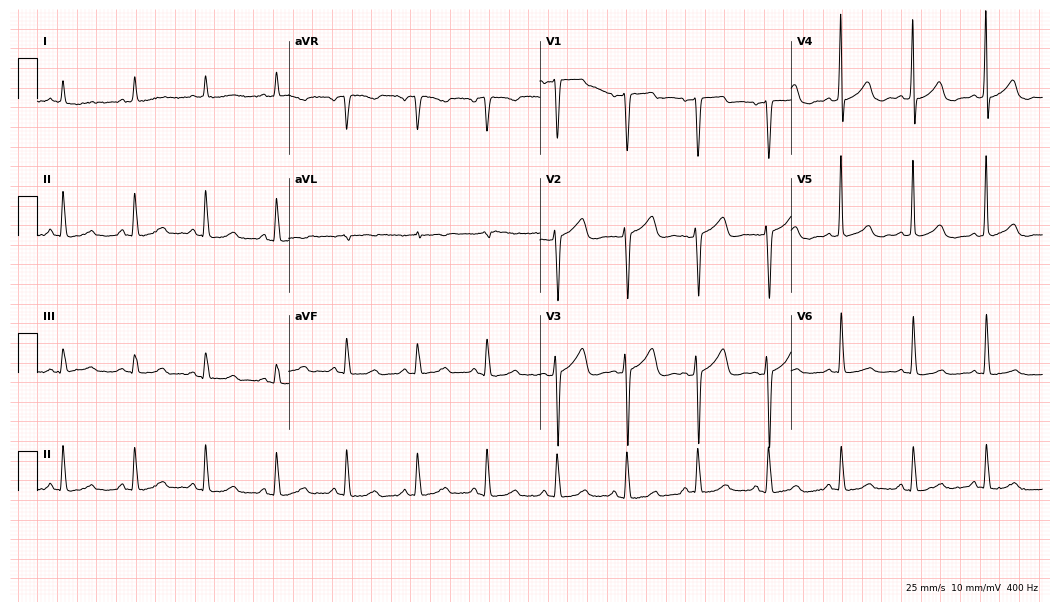
Standard 12-lead ECG recorded from a 57-year-old female patient. Read as a normal ECG.